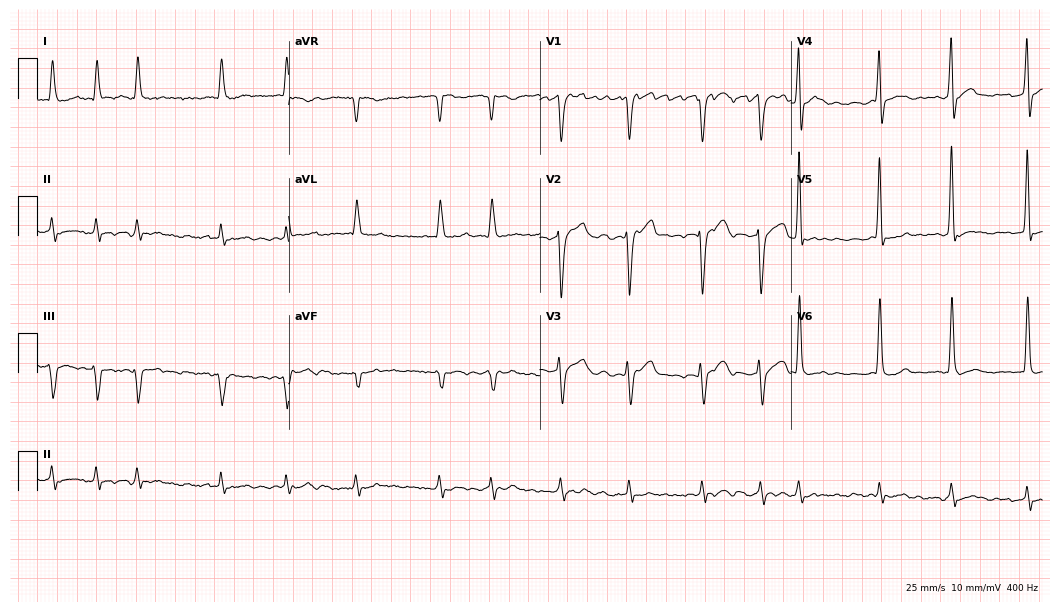
Electrocardiogram, a male patient, 84 years old. Interpretation includes atrial fibrillation.